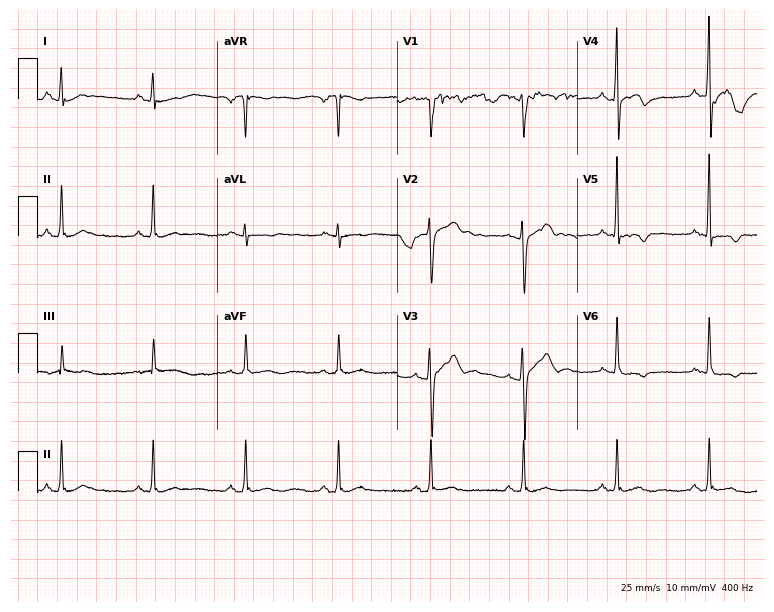
12-lead ECG from a male, 40 years old. Screened for six findings — first-degree AV block, right bundle branch block, left bundle branch block, sinus bradycardia, atrial fibrillation, sinus tachycardia — none is recorded. Only these six findings were labelled.